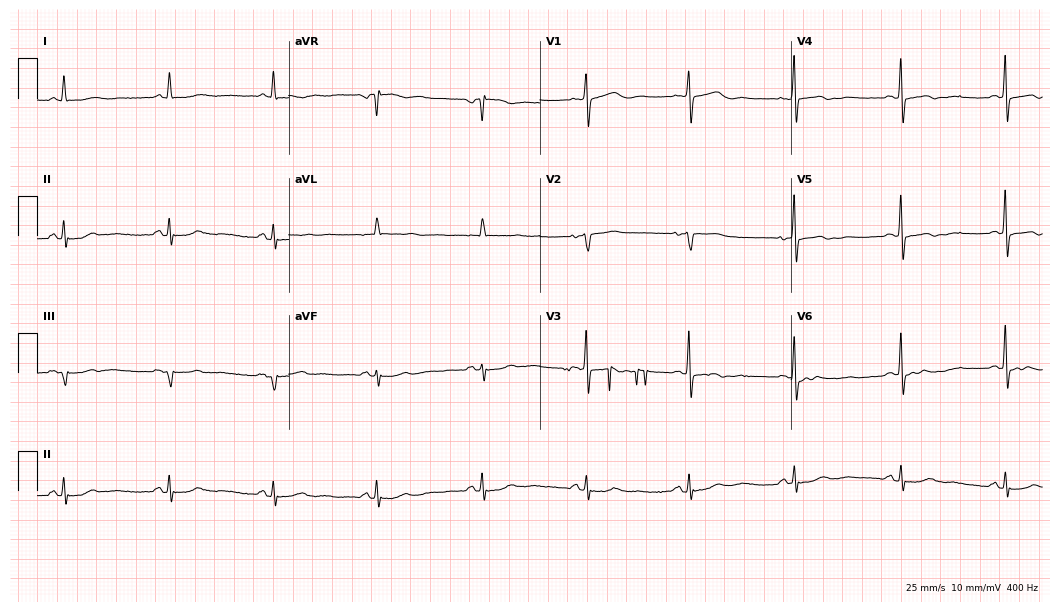
Standard 12-lead ECG recorded from a female patient, 81 years old (10.2-second recording at 400 Hz). Read as a normal ECG.